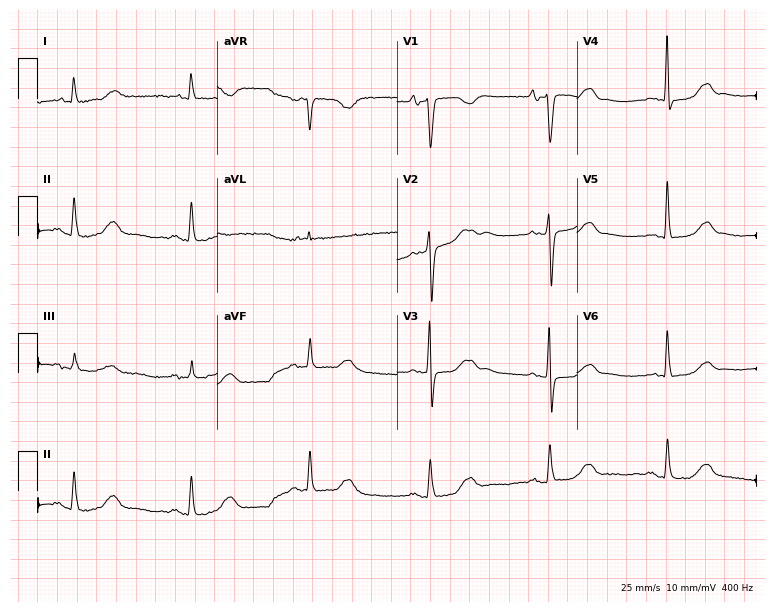
12-lead ECG from a female, 68 years old. Findings include sinus bradycardia (a sinus rate of 50 beats per minute or less).